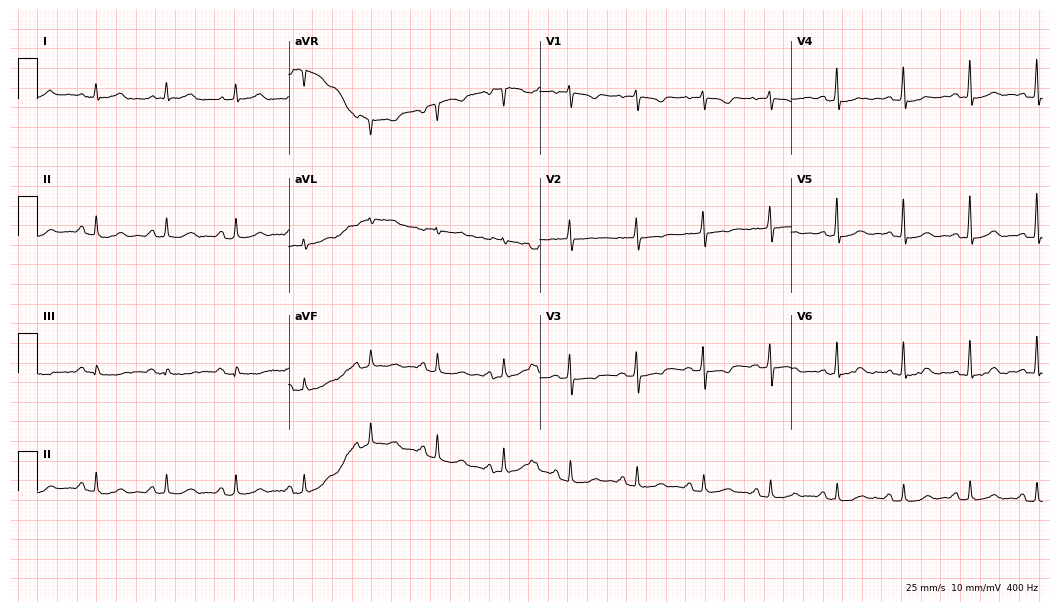
Standard 12-lead ECG recorded from a female patient, 70 years old (10.2-second recording at 400 Hz). None of these six findings is recorded: first-degree AV block, right bundle branch block (RBBB), left bundle branch block (LBBB), sinus bradycardia, atrial fibrillation (AF), sinus tachycardia.